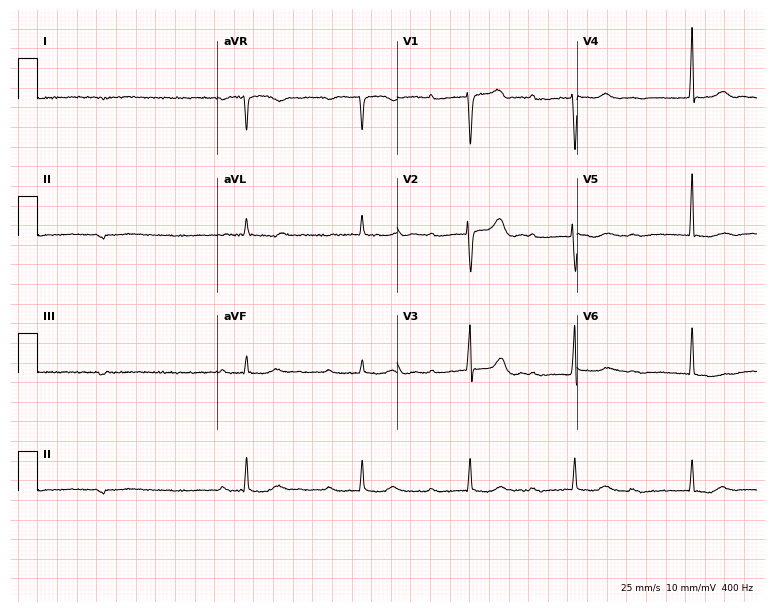
Standard 12-lead ECG recorded from a male, 82 years old (7.3-second recording at 400 Hz). The tracing shows first-degree AV block.